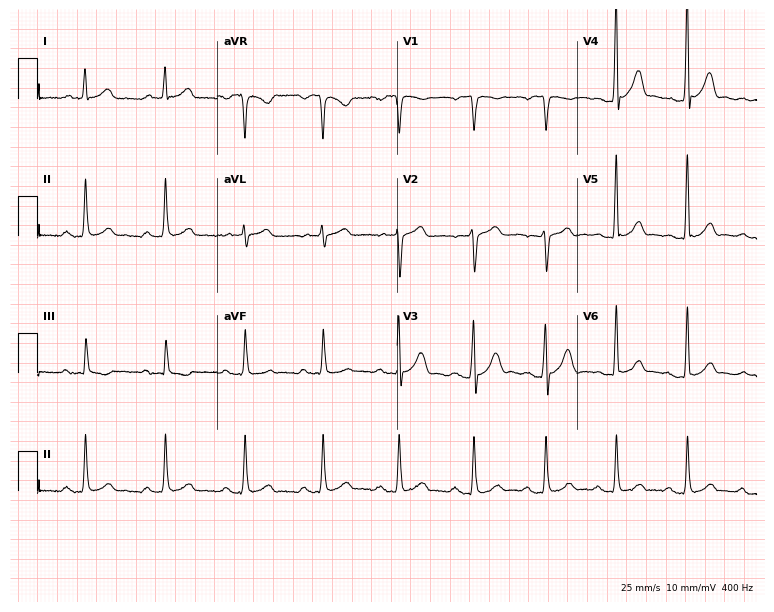
Electrocardiogram (7.3-second recording at 400 Hz), a 39-year-old male patient. Overall reading on record: normal ECG.